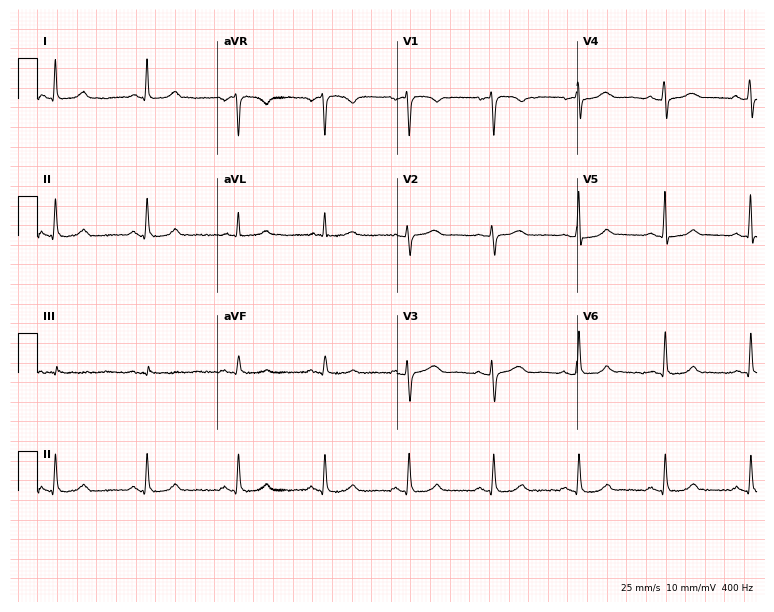
Electrocardiogram (7.3-second recording at 400 Hz), a 44-year-old female. Of the six screened findings (first-degree AV block, right bundle branch block, left bundle branch block, sinus bradycardia, atrial fibrillation, sinus tachycardia), none is recorded.